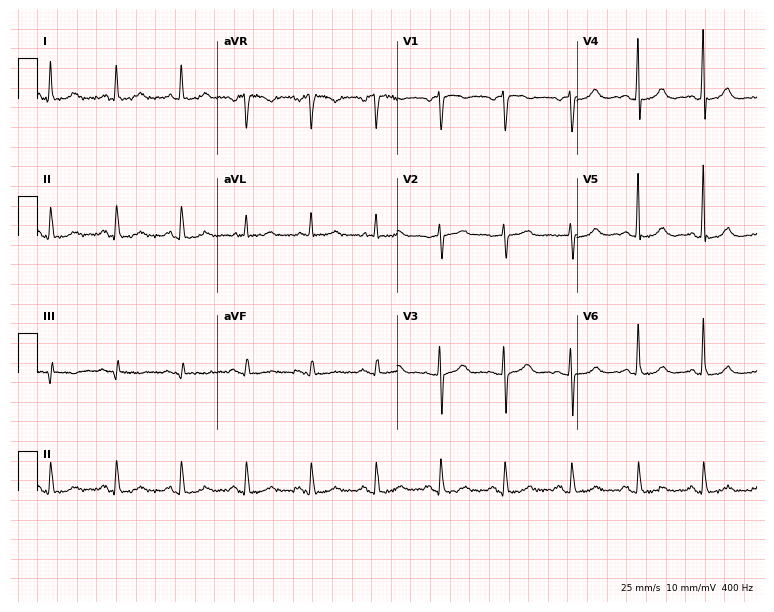
12-lead ECG from a 65-year-old female. Recorded interpretation: within normal limits.